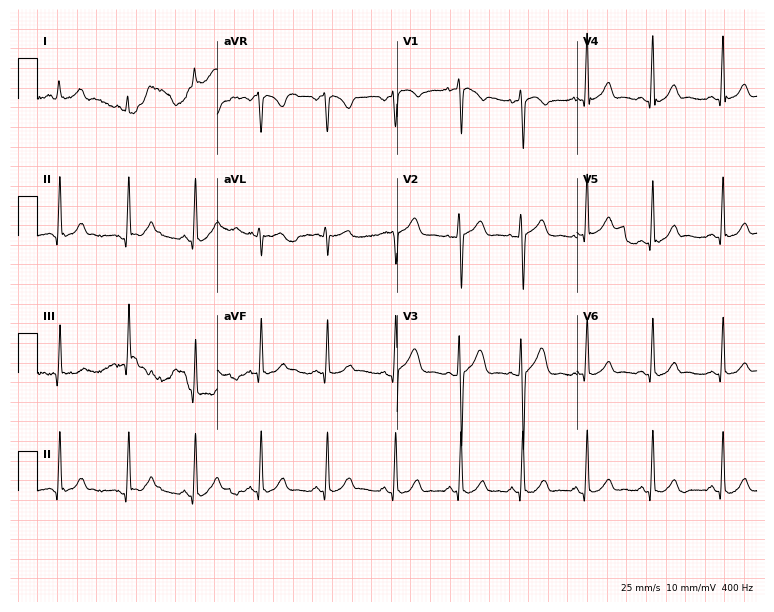
Standard 12-lead ECG recorded from a 27-year-old female patient (7.3-second recording at 400 Hz). None of these six findings is recorded: first-degree AV block, right bundle branch block (RBBB), left bundle branch block (LBBB), sinus bradycardia, atrial fibrillation (AF), sinus tachycardia. Only these six findings were labelled.